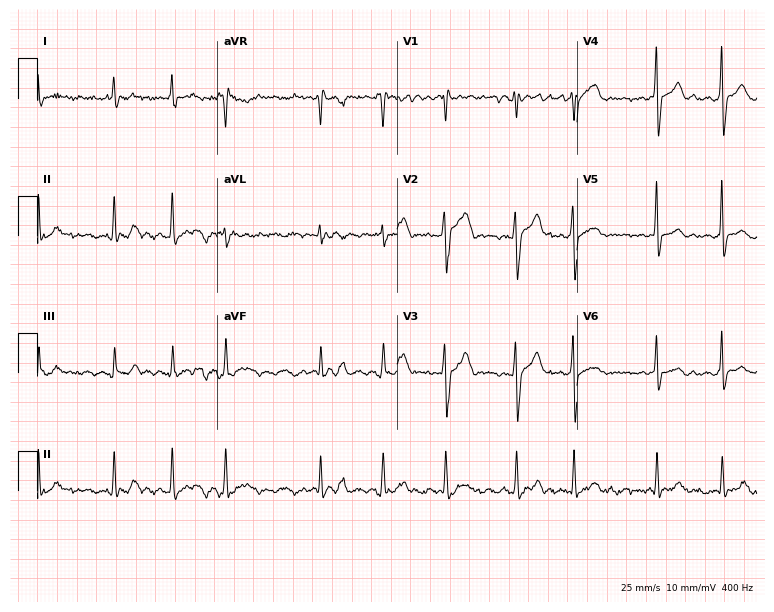
ECG — a 77-year-old man. Findings include atrial fibrillation.